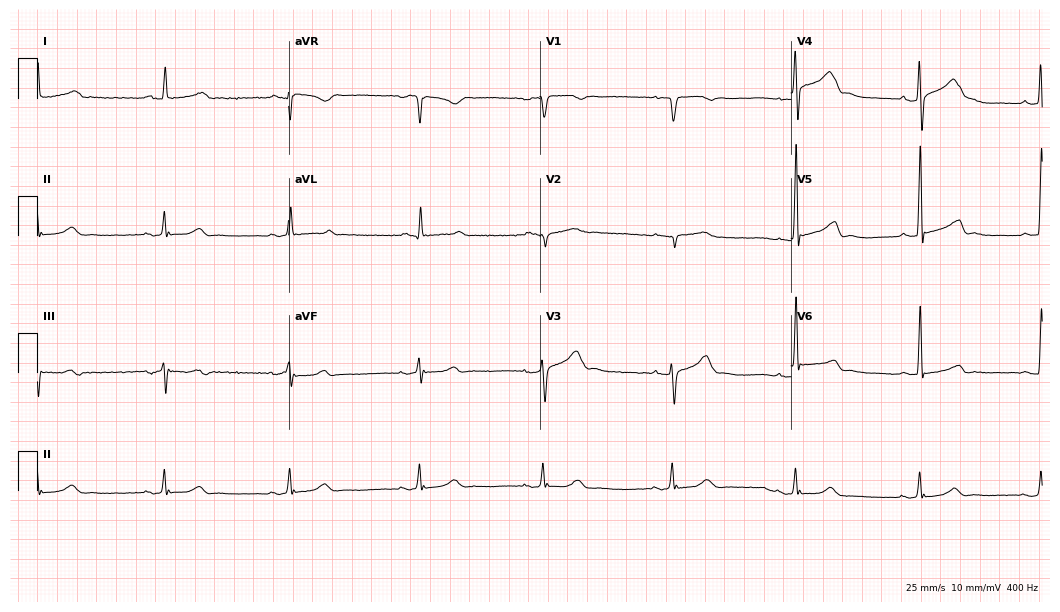
Electrocardiogram, a male patient, 72 years old. Of the six screened findings (first-degree AV block, right bundle branch block, left bundle branch block, sinus bradycardia, atrial fibrillation, sinus tachycardia), none is recorded.